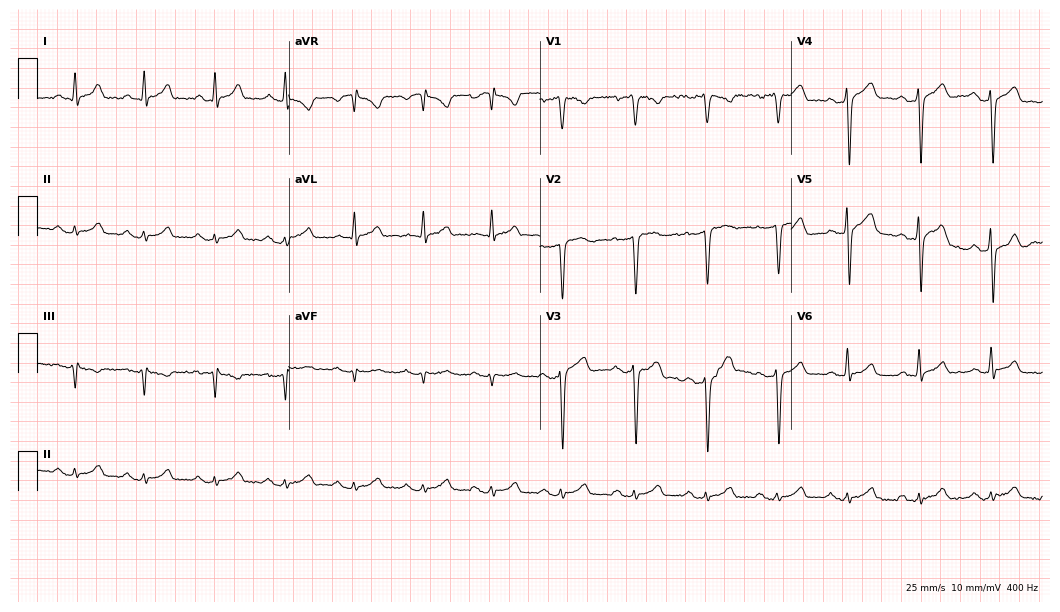
12-lead ECG (10.2-second recording at 400 Hz) from a 52-year-old man. Screened for six findings — first-degree AV block, right bundle branch block (RBBB), left bundle branch block (LBBB), sinus bradycardia, atrial fibrillation (AF), sinus tachycardia — none is recorded. Other findings, if any, are not listed.